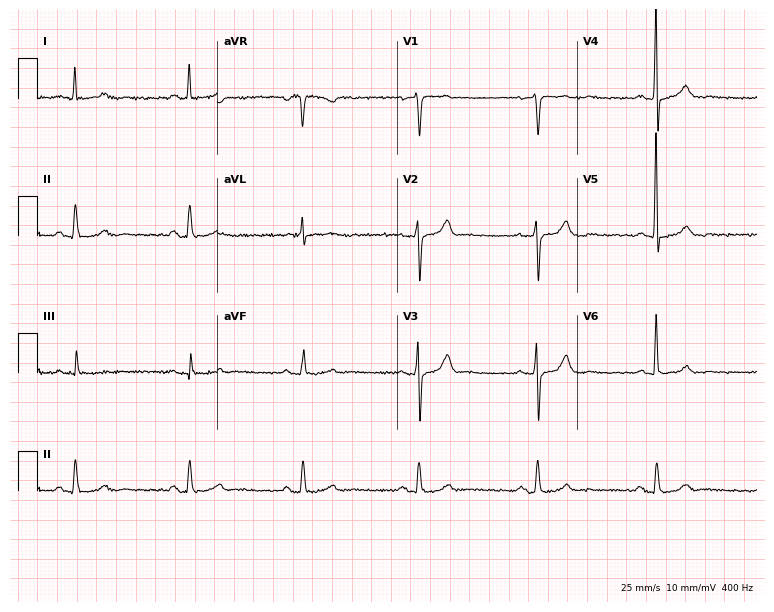
ECG (7.3-second recording at 400 Hz) — a male patient, 78 years old. Screened for six findings — first-degree AV block, right bundle branch block, left bundle branch block, sinus bradycardia, atrial fibrillation, sinus tachycardia — none is recorded. Other findings, if any, are not listed.